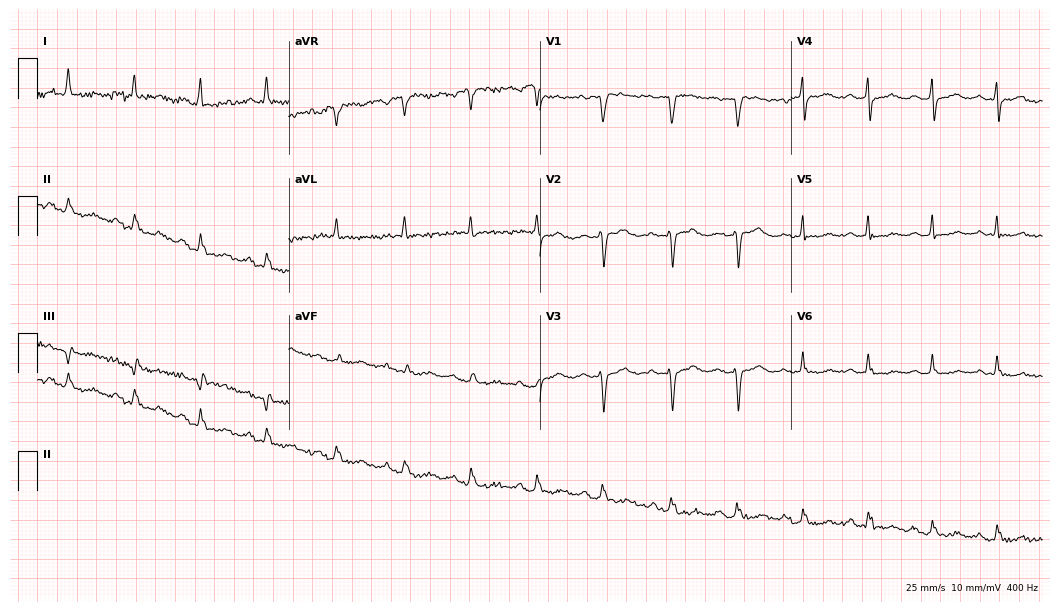
Electrocardiogram, a woman, 53 years old. Of the six screened findings (first-degree AV block, right bundle branch block (RBBB), left bundle branch block (LBBB), sinus bradycardia, atrial fibrillation (AF), sinus tachycardia), none is recorded. Findings outside these six are not listed.